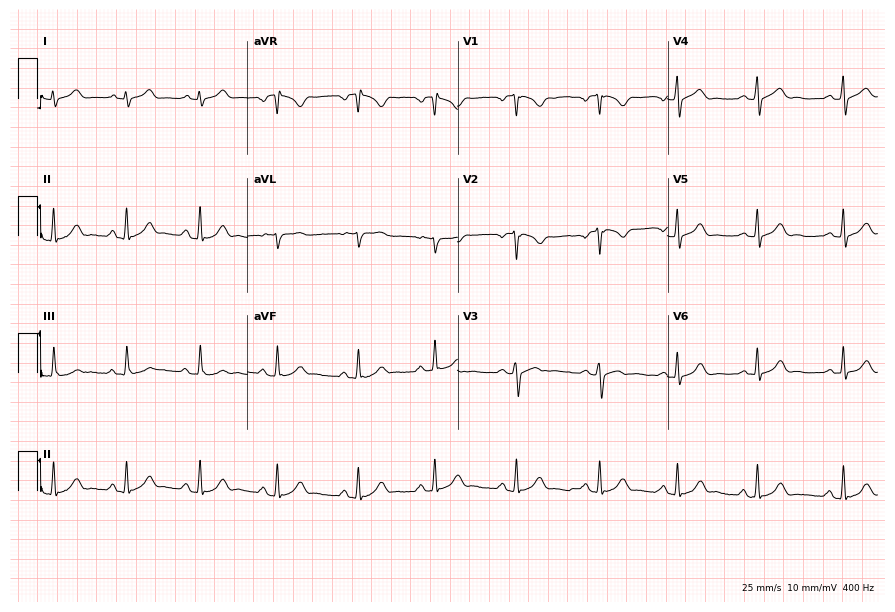
Electrocardiogram, a 26-year-old woman. Overall reading on record: normal ECG.